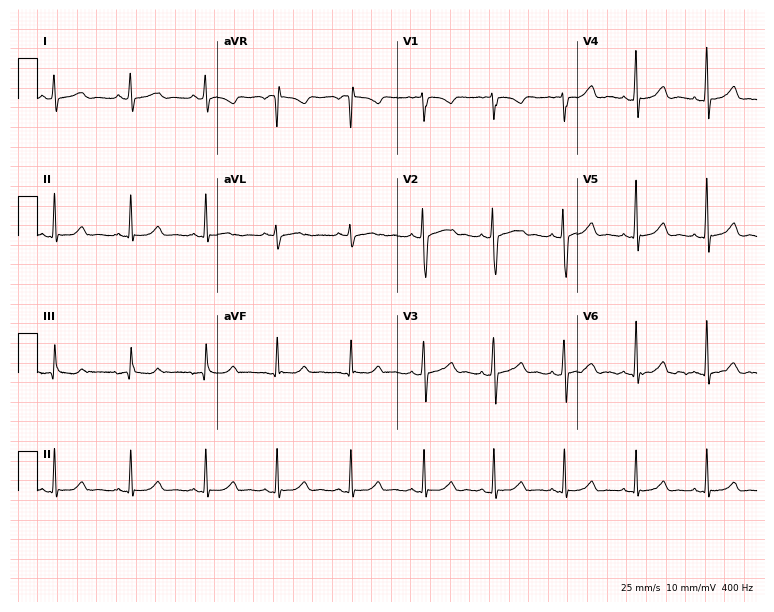
12-lead ECG from a woman, 21 years old. Labelled as a normal ECG.